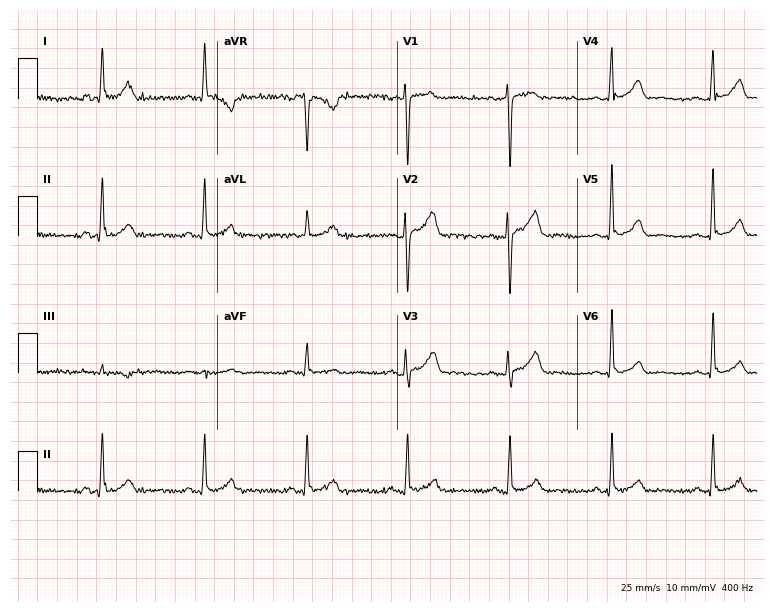
Resting 12-lead electrocardiogram (7.3-second recording at 400 Hz). Patient: a 49-year-old male. Read as a normal ECG.